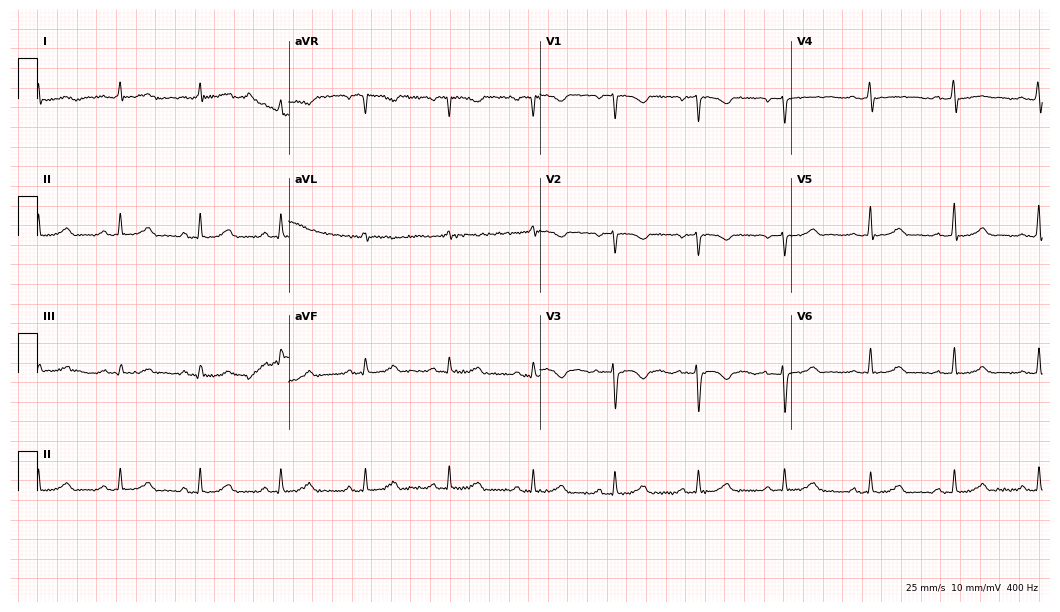
Electrocardiogram, a 30-year-old woman. Overall reading on record: normal ECG.